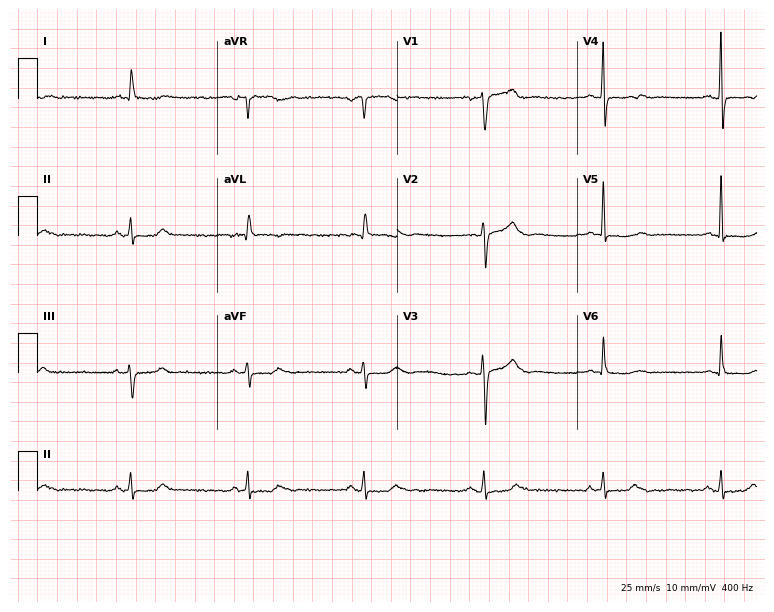
Electrocardiogram (7.3-second recording at 400 Hz), a 62-year-old female patient. Of the six screened findings (first-degree AV block, right bundle branch block (RBBB), left bundle branch block (LBBB), sinus bradycardia, atrial fibrillation (AF), sinus tachycardia), none is recorded. Only these six findings were labelled.